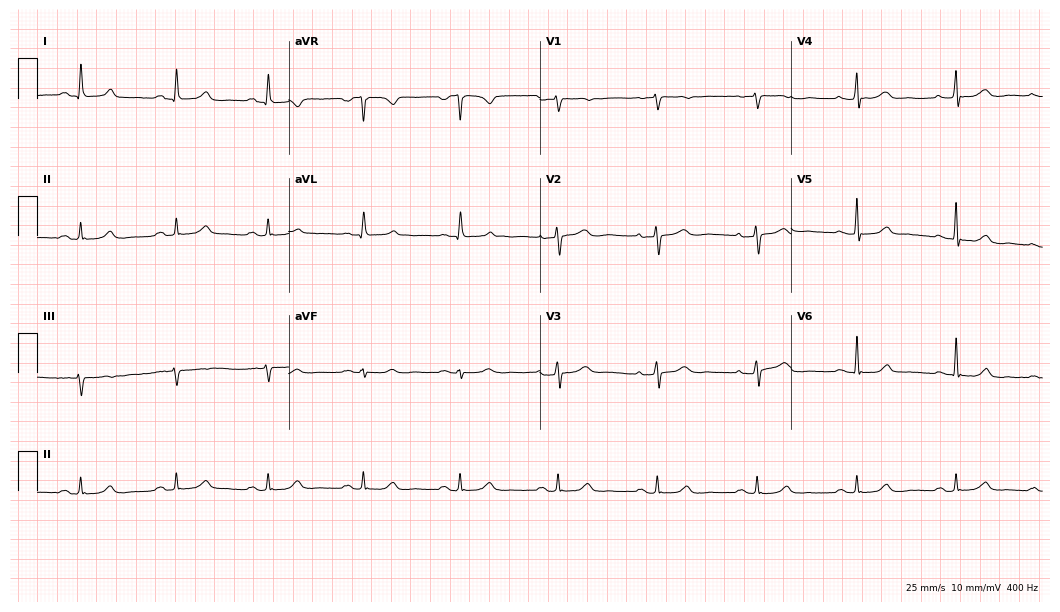
Resting 12-lead electrocardiogram (10.2-second recording at 400 Hz). Patient: a woman, 45 years old. Read as a normal ECG.